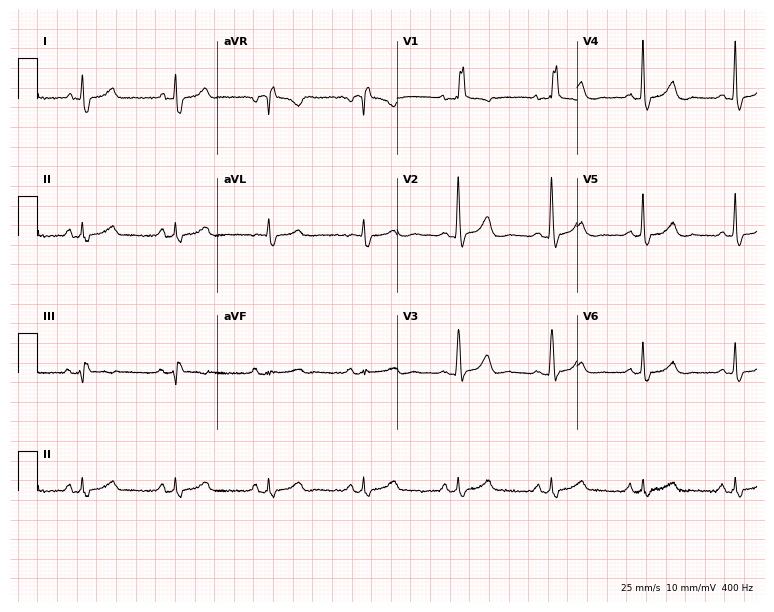
ECG (7.3-second recording at 400 Hz) — a 67-year-old female. Screened for six findings — first-degree AV block, right bundle branch block (RBBB), left bundle branch block (LBBB), sinus bradycardia, atrial fibrillation (AF), sinus tachycardia — none is recorded. Findings outside these six are not listed.